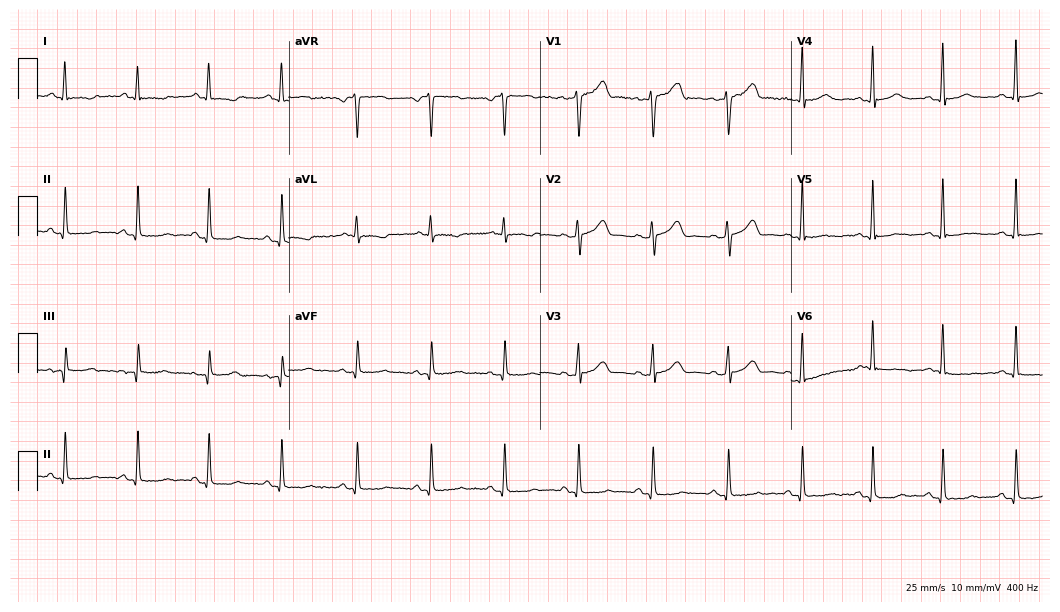
Electrocardiogram (10.2-second recording at 400 Hz), a female patient, 35 years old. Of the six screened findings (first-degree AV block, right bundle branch block, left bundle branch block, sinus bradycardia, atrial fibrillation, sinus tachycardia), none is recorded. Other findings, if any, are not listed.